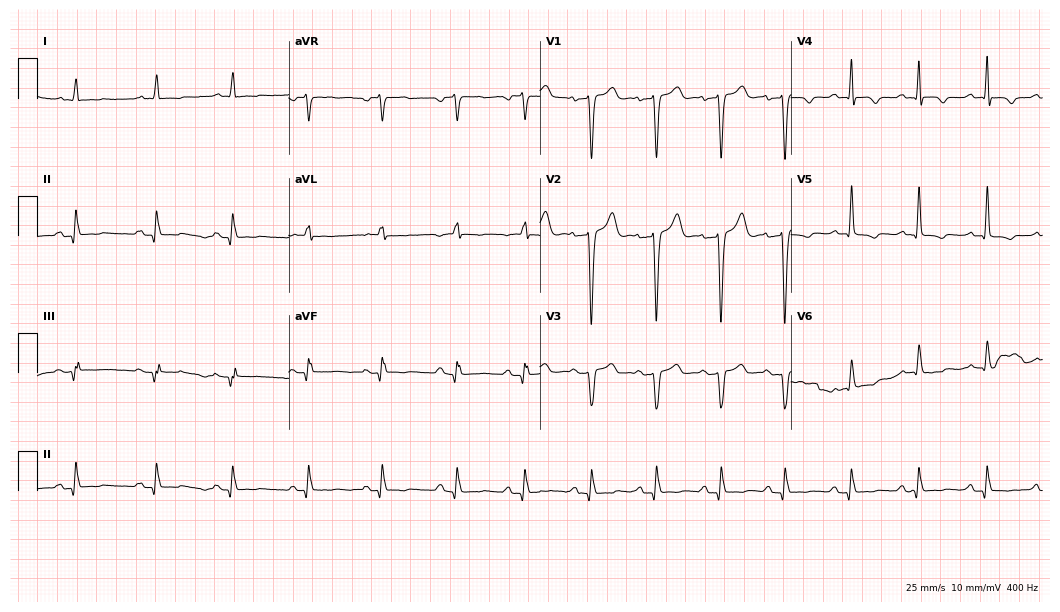
Standard 12-lead ECG recorded from a 79-year-old female. None of these six findings is recorded: first-degree AV block, right bundle branch block, left bundle branch block, sinus bradycardia, atrial fibrillation, sinus tachycardia.